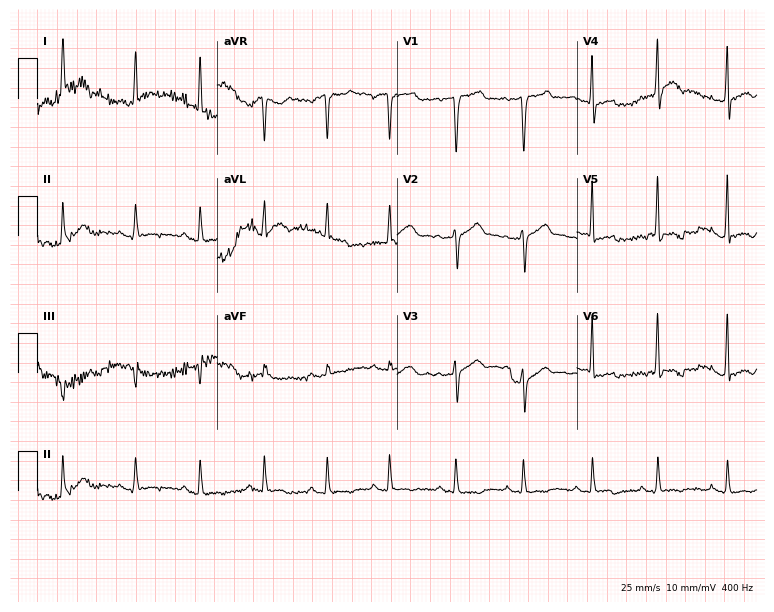
12-lead ECG from a 26-year-old male. No first-degree AV block, right bundle branch block (RBBB), left bundle branch block (LBBB), sinus bradycardia, atrial fibrillation (AF) or sinus tachycardia recorded for this tracing. Findings outside these six are not listed.